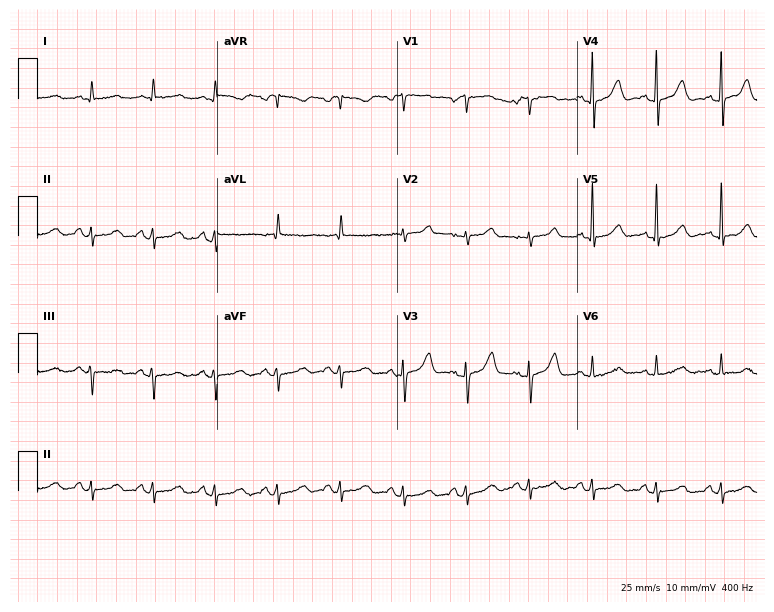
Resting 12-lead electrocardiogram. Patient: a man, 54 years old. Read as a normal ECG.